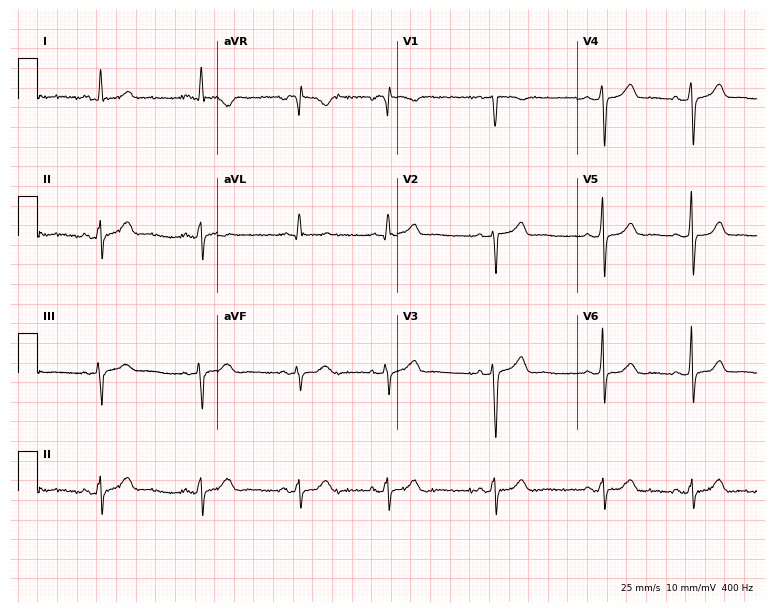
ECG (7.3-second recording at 400 Hz) — a female patient, 57 years old. Screened for six findings — first-degree AV block, right bundle branch block, left bundle branch block, sinus bradycardia, atrial fibrillation, sinus tachycardia — none is recorded.